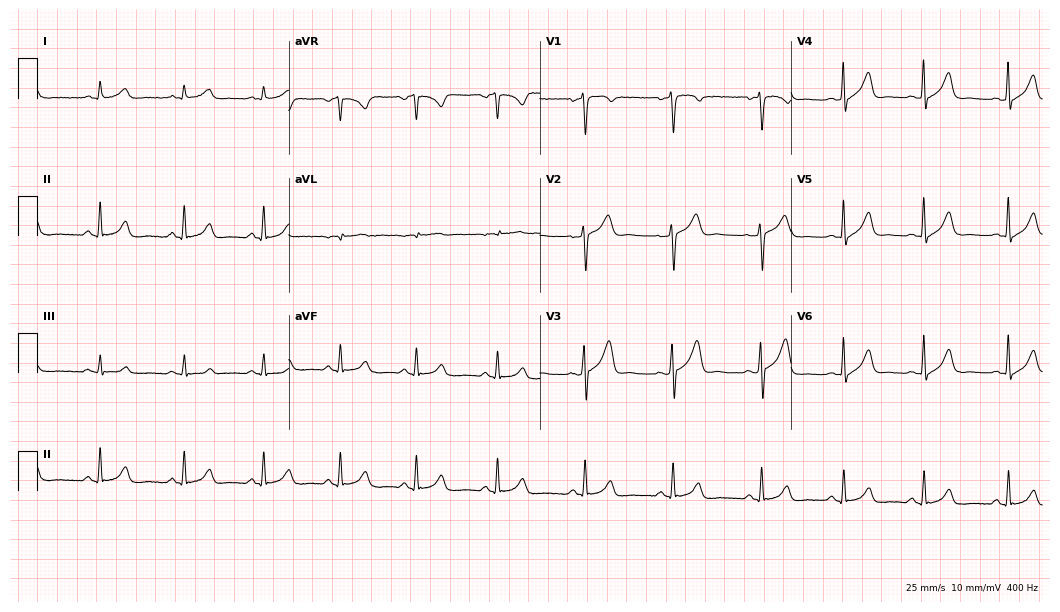
ECG (10.2-second recording at 400 Hz) — a man, 43 years old. Labelled as a normal ECG.